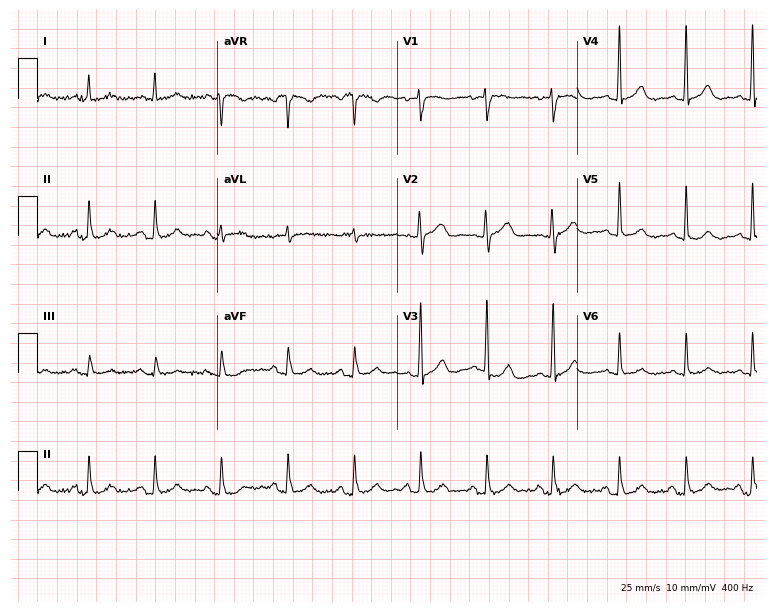
Standard 12-lead ECG recorded from a female, 70 years old. None of these six findings is recorded: first-degree AV block, right bundle branch block (RBBB), left bundle branch block (LBBB), sinus bradycardia, atrial fibrillation (AF), sinus tachycardia. Findings outside these six are not listed.